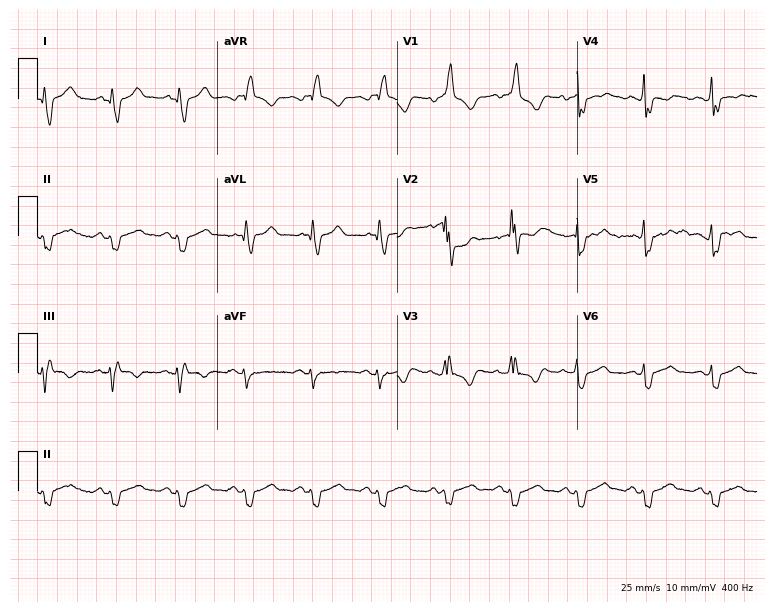
Resting 12-lead electrocardiogram. Patient: a male, 41 years old. The tracing shows right bundle branch block.